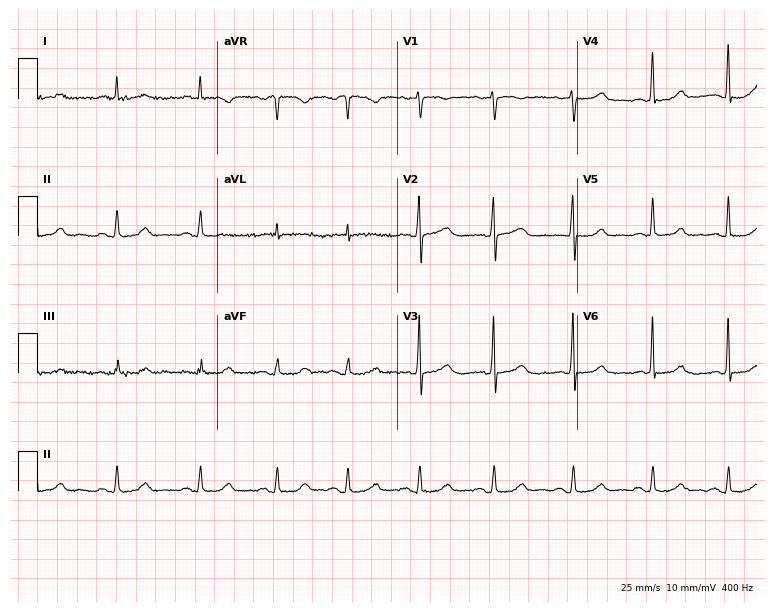
12-lead ECG from a 65-year-old woman. Recorded interpretation: within normal limits.